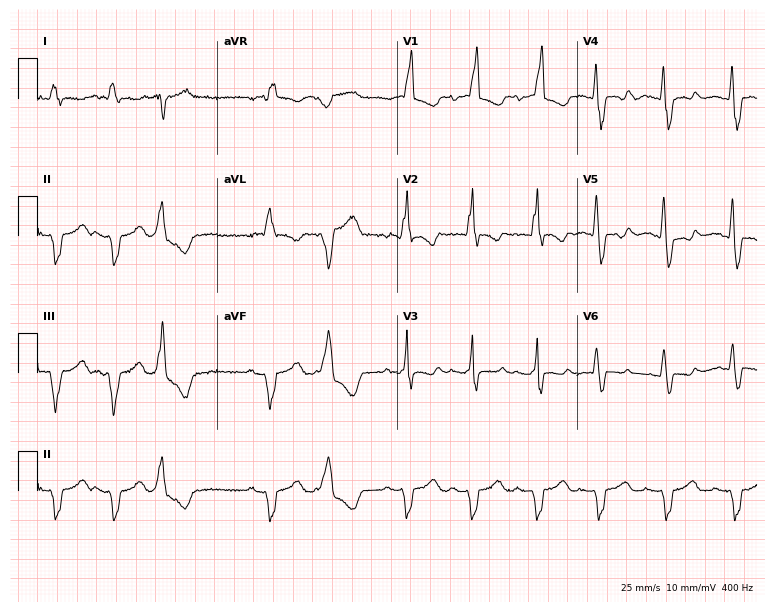
ECG (7.3-second recording at 400 Hz) — a male patient, 58 years old. Findings include right bundle branch block (RBBB).